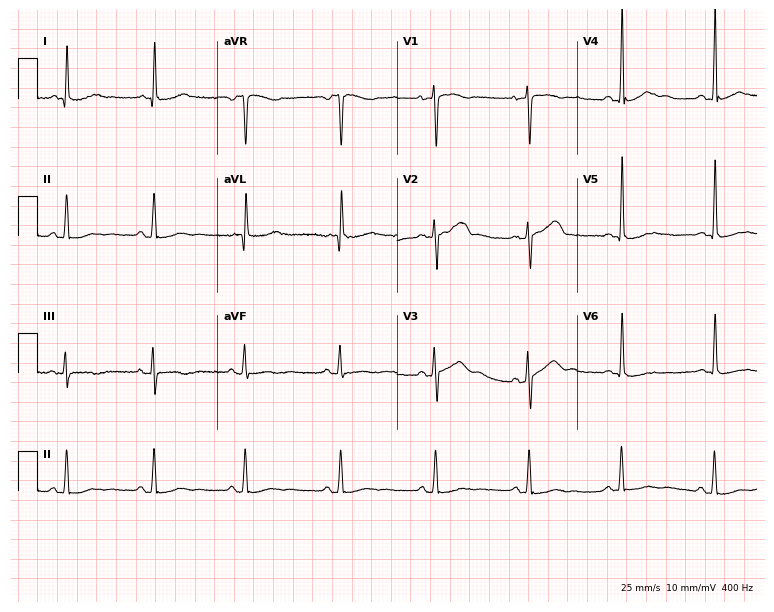
Standard 12-lead ECG recorded from a 51-year-old woman (7.3-second recording at 400 Hz). None of these six findings is recorded: first-degree AV block, right bundle branch block (RBBB), left bundle branch block (LBBB), sinus bradycardia, atrial fibrillation (AF), sinus tachycardia. Other findings, if any, are not listed.